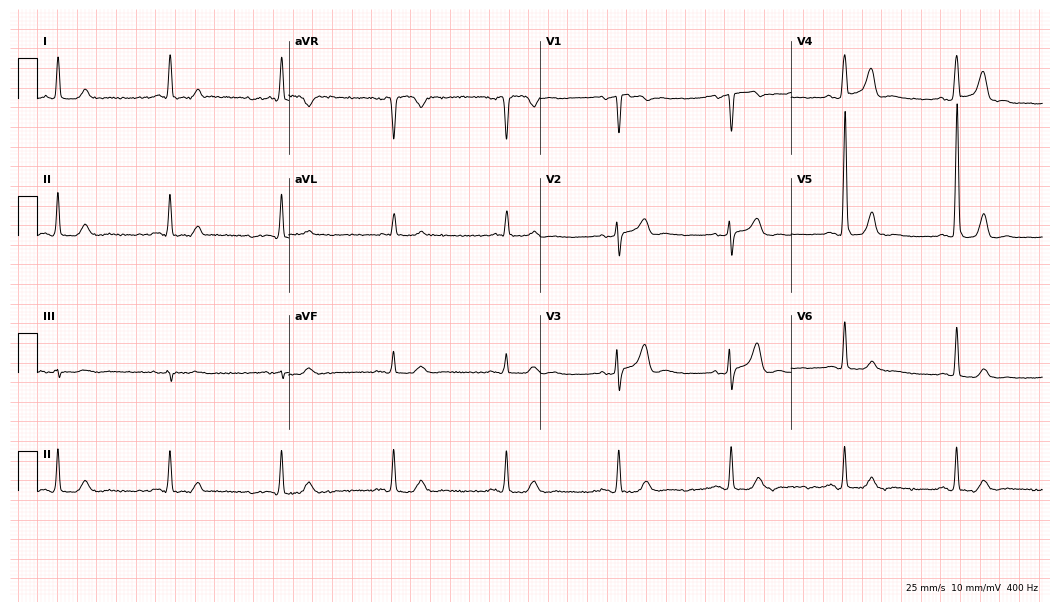
12-lead ECG from a man, 82 years old (10.2-second recording at 400 Hz). No first-degree AV block, right bundle branch block, left bundle branch block, sinus bradycardia, atrial fibrillation or sinus tachycardia recorded for this tracing. Findings outside these six are not listed.